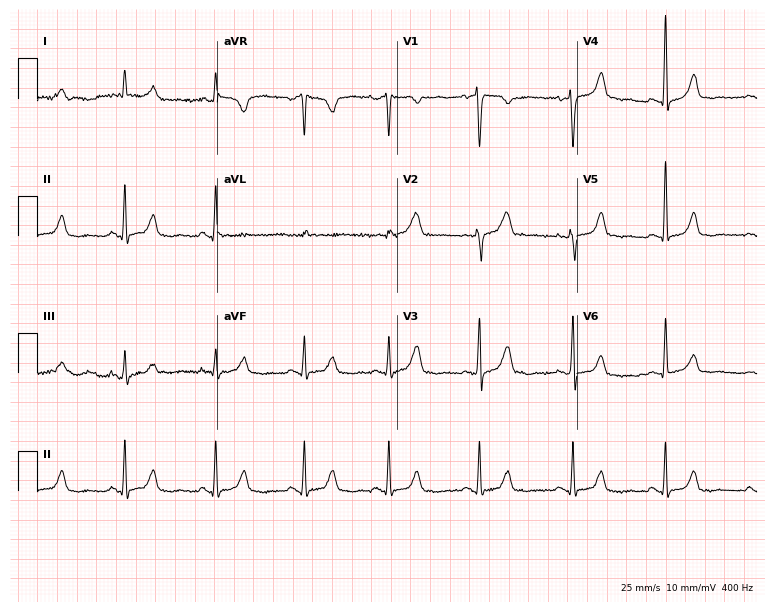
Resting 12-lead electrocardiogram (7.3-second recording at 400 Hz). Patient: a 49-year-old female. Read as a normal ECG.